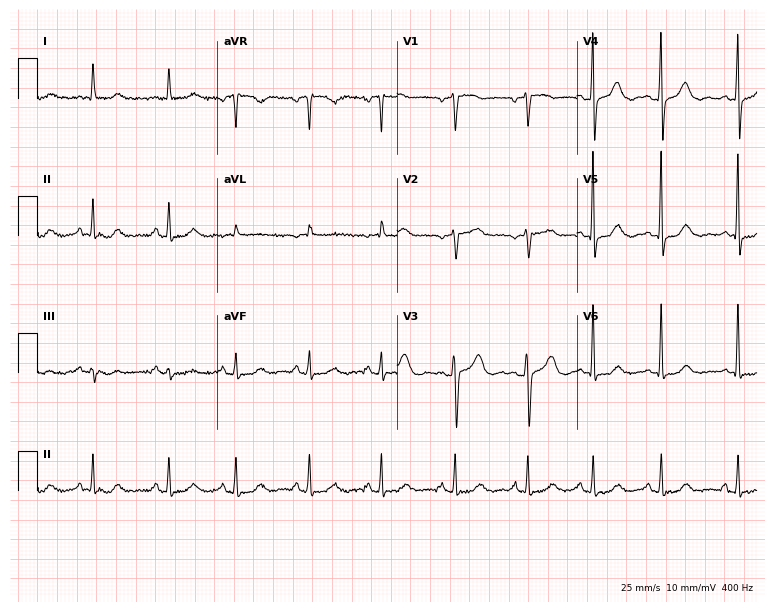
Standard 12-lead ECG recorded from a 64-year-old female patient. None of these six findings is recorded: first-degree AV block, right bundle branch block, left bundle branch block, sinus bradycardia, atrial fibrillation, sinus tachycardia.